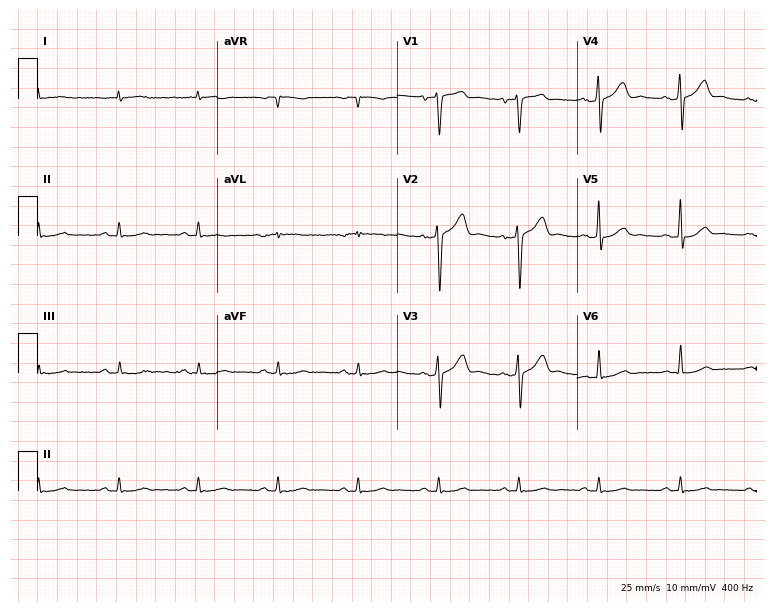
Electrocardiogram (7.3-second recording at 400 Hz), a male patient, 55 years old. Of the six screened findings (first-degree AV block, right bundle branch block (RBBB), left bundle branch block (LBBB), sinus bradycardia, atrial fibrillation (AF), sinus tachycardia), none is recorded. Only these six findings were labelled.